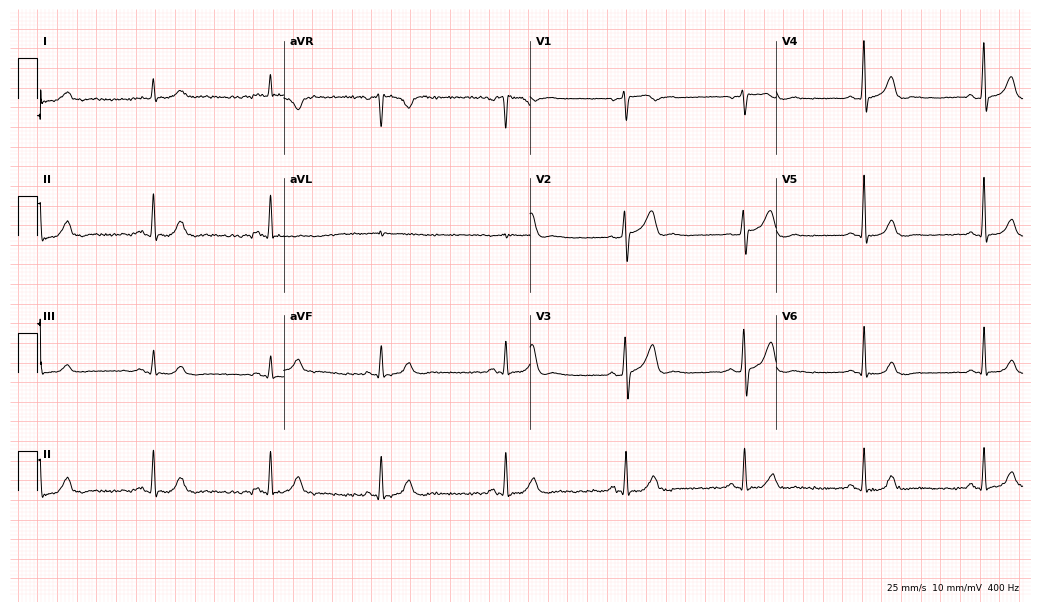
ECG — a 70-year-old male patient. Labelled as a normal ECG.